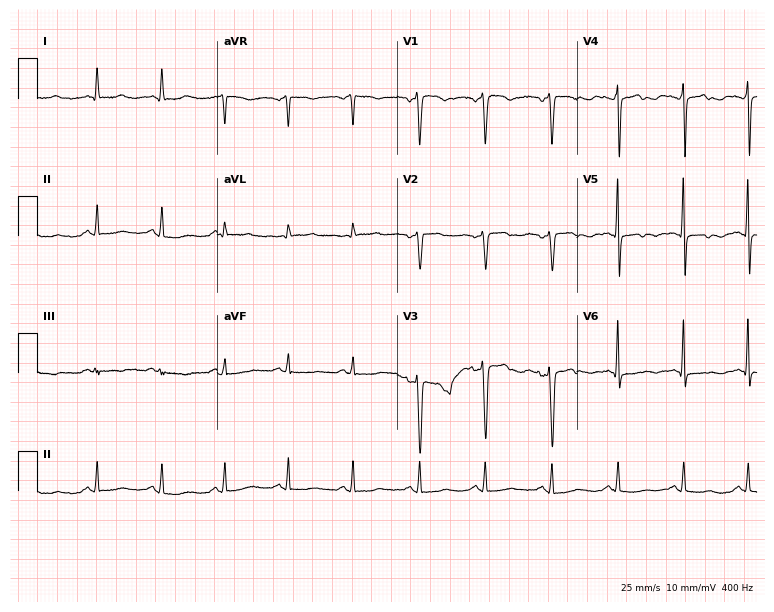
Electrocardiogram, a 41-year-old female patient. Of the six screened findings (first-degree AV block, right bundle branch block, left bundle branch block, sinus bradycardia, atrial fibrillation, sinus tachycardia), none is recorded.